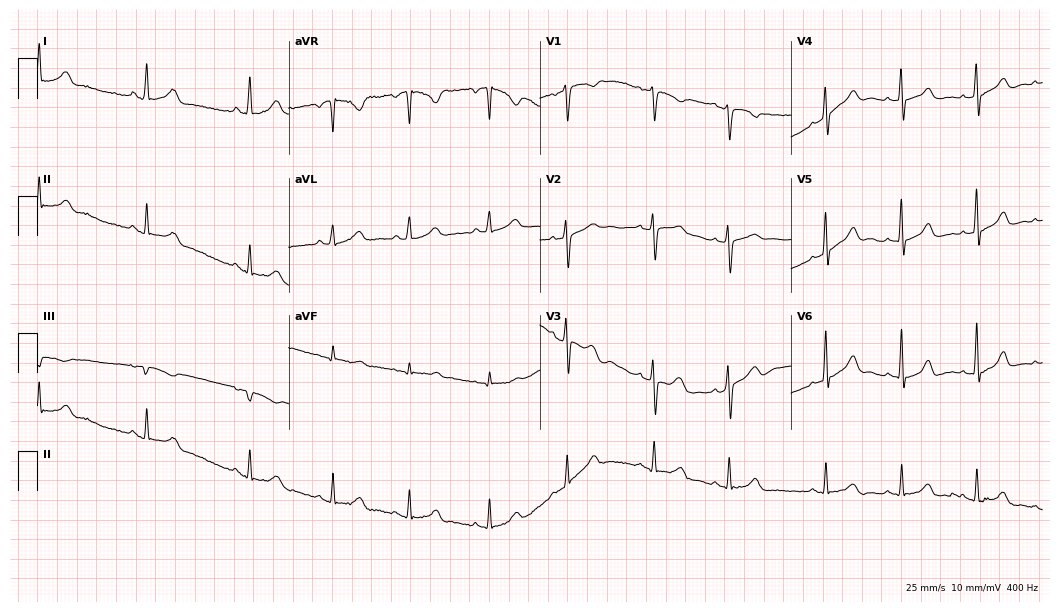
Electrocardiogram (10.2-second recording at 400 Hz), a 27-year-old woman. Overall reading on record: normal ECG.